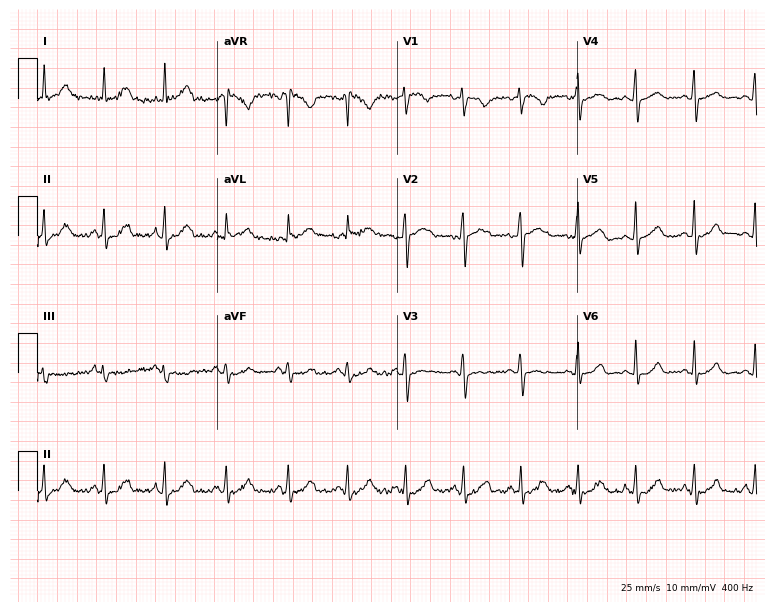
12-lead ECG from a 30-year-old female. Recorded interpretation: within normal limits.